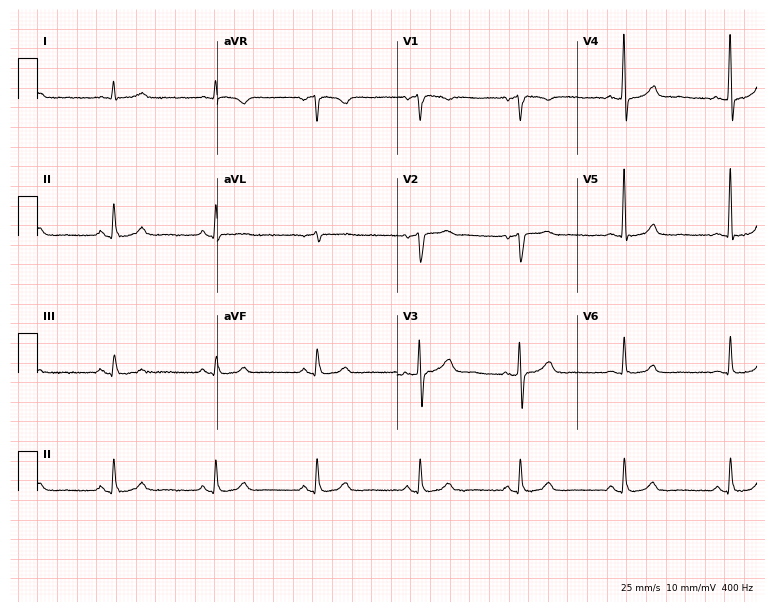
Resting 12-lead electrocardiogram. Patient: a male, 70 years old. Read as a normal ECG.